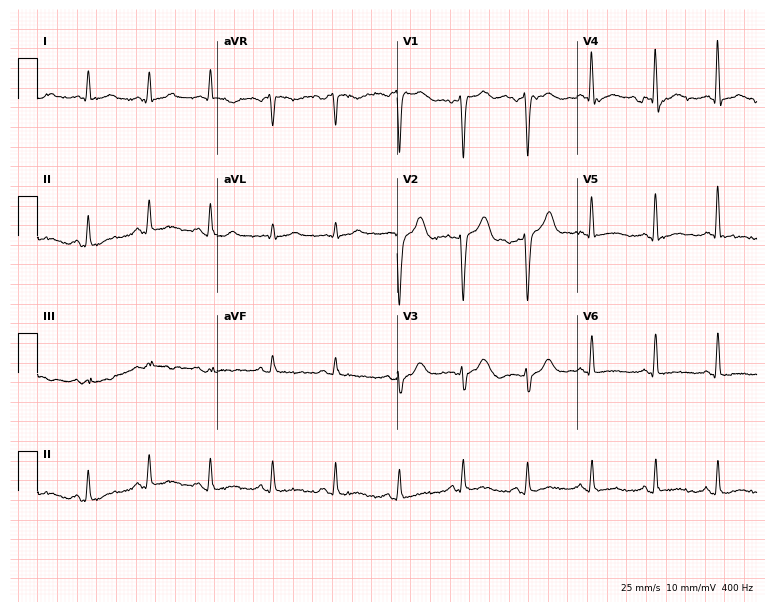
Standard 12-lead ECG recorded from a 71-year-old female patient. None of these six findings is recorded: first-degree AV block, right bundle branch block, left bundle branch block, sinus bradycardia, atrial fibrillation, sinus tachycardia. Findings outside these six are not listed.